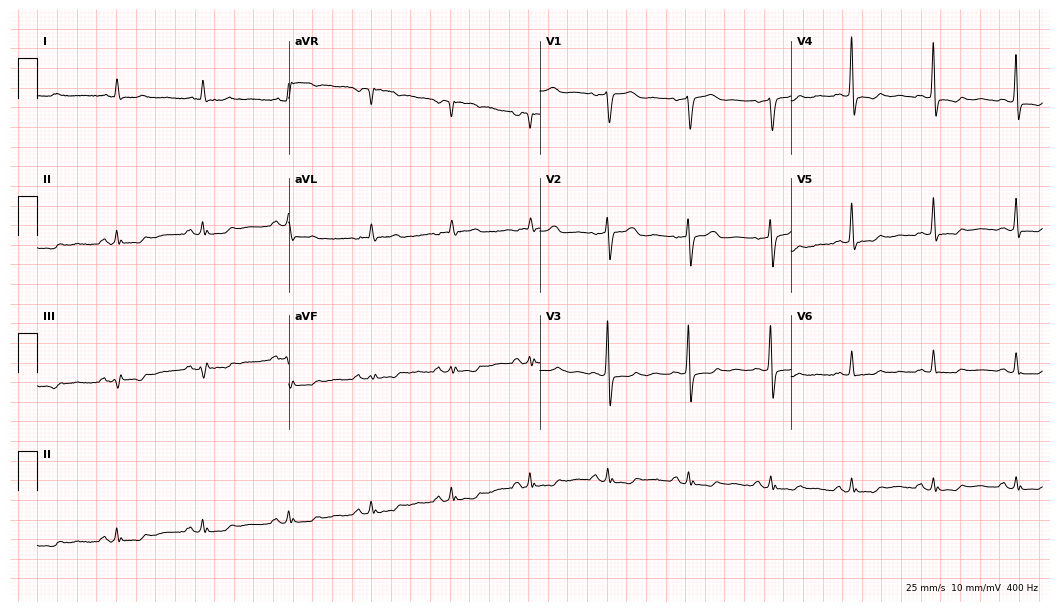
Electrocardiogram, a 65-year-old female. Overall reading on record: normal ECG.